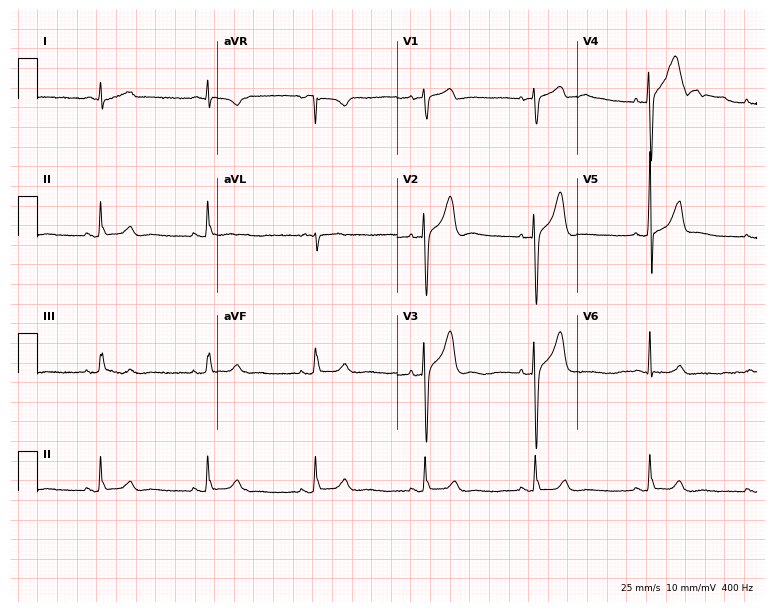
Standard 12-lead ECG recorded from a 53-year-old man (7.3-second recording at 400 Hz). None of these six findings is recorded: first-degree AV block, right bundle branch block, left bundle branch block, sinus bradycardia, atrial fibrillation, sinus tachycardia. Findings outside these six are not listed.